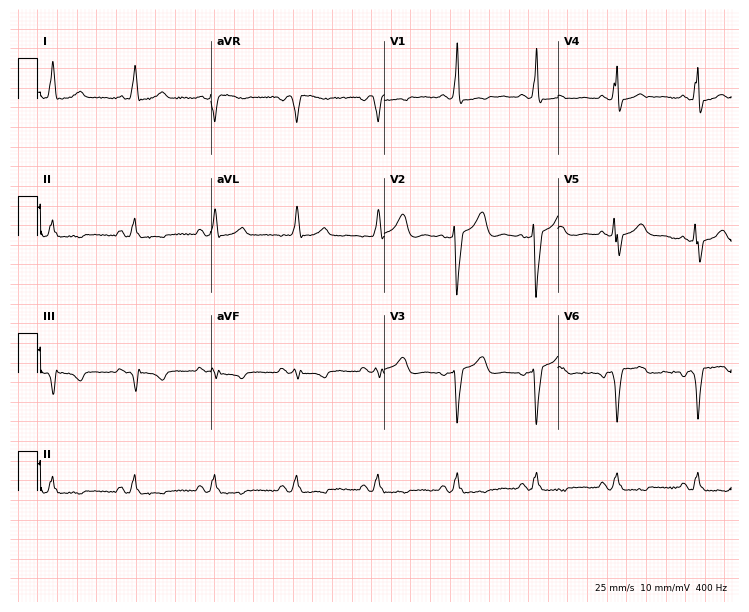
Resting 12-lead electrocardiogram. Patient: a woman, 63 years old. None of these six findings is recorded: first-degree AV block, right bundle branch block, left bundle branch block, sinus bradycardia, atrial fibrillation, sinus tachycardia. Only these six findings were labelled.